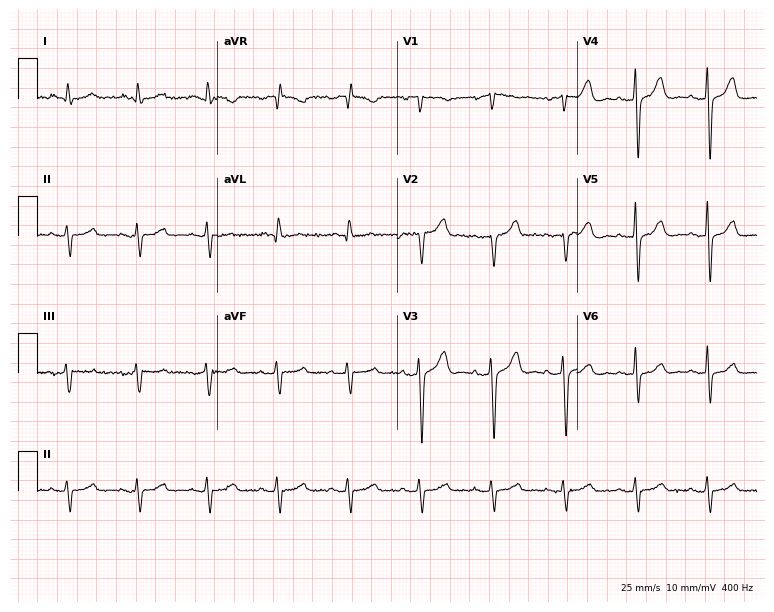
Resting 12-lead electrocardiogram. Patient: a male, 81 years old. None of these six findings is recorded: first-degree AV block, right bundle branch block, left bundle branch block, sinus bradycardia, atrial fibrillation, sinus tachycardia.